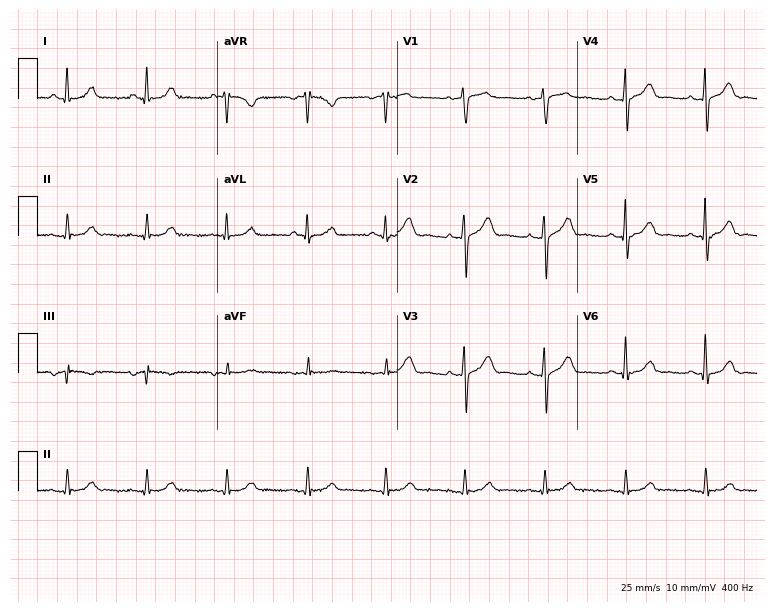
ECG — a male patient, 63 years old. Screened for six findings — first-degree AV block, right bundle branch block, left bundle branch block, sinus bradycardia, atrial fibrillation, sinus tachycardia — none is recorded.